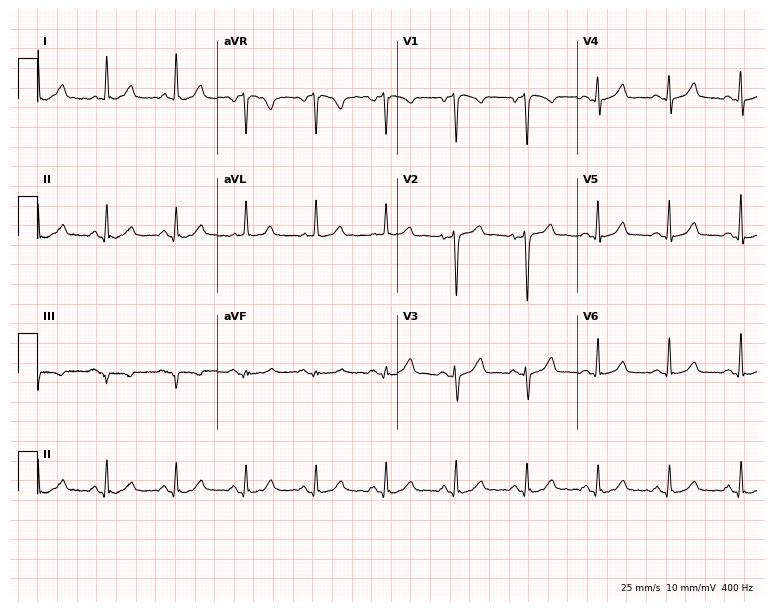
Electrocardiogram (7.3-second recording at 400 Hz), a 59-year-old female. Overall reading on record: normal ECG.